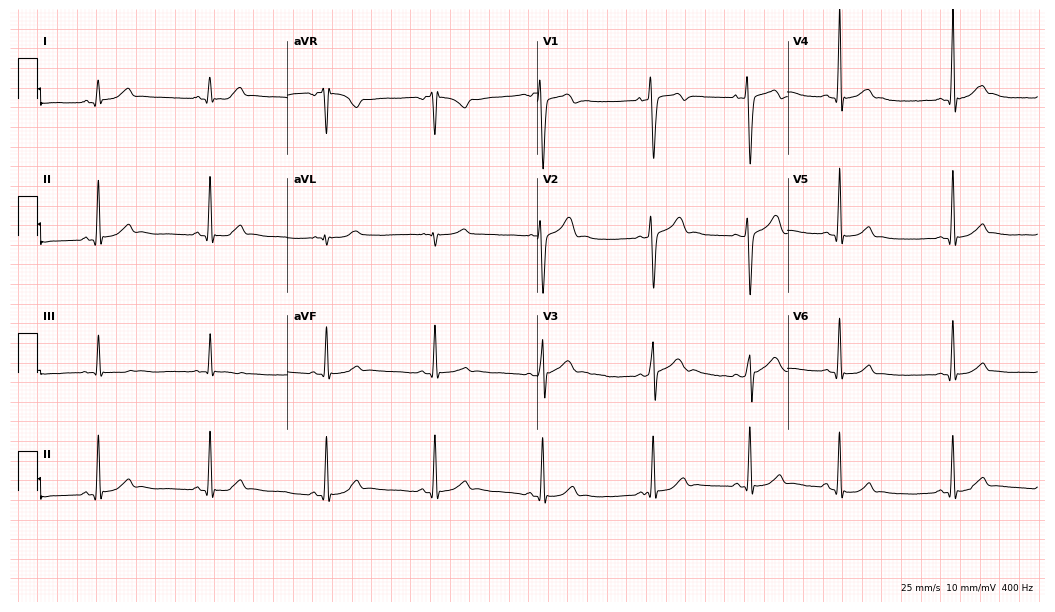
12-lead ECG from a 19-year-old male patient. Recorded interpretation: within normal limits.